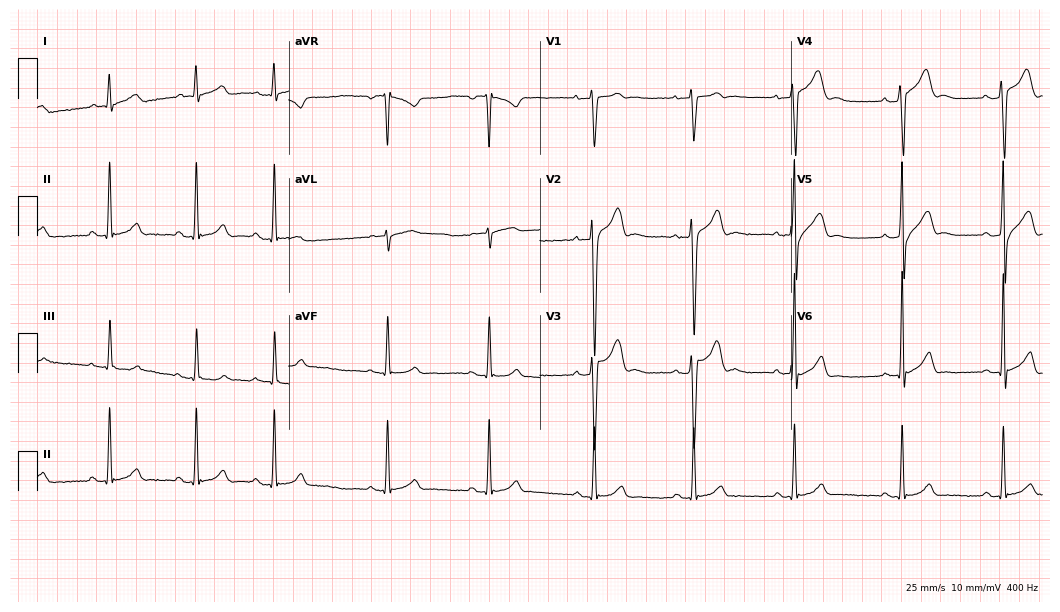
Standard 12-lead ECG recorded from a 24-year-old male patient (10.2-second recording at 400 Hz). Read as a normal ECG.